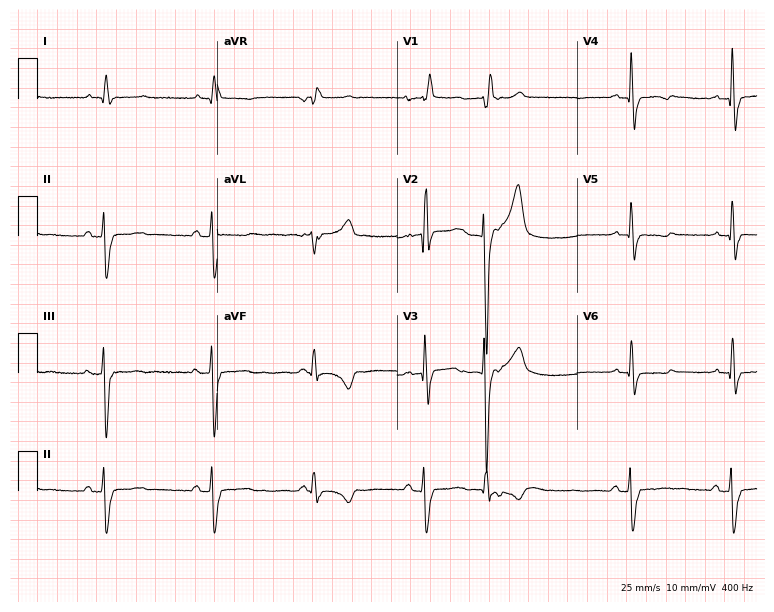
12-lead ECG (7.3-second recording at 400 Hz) from an 80-year-old female. Screened for six findings — first-degree AV block, right bundle branch block, left bundle branch block, sinus bradycardia, atrial fibrillation, sinus tachycardia — none is recorded. Other findings, if any, are not listed.